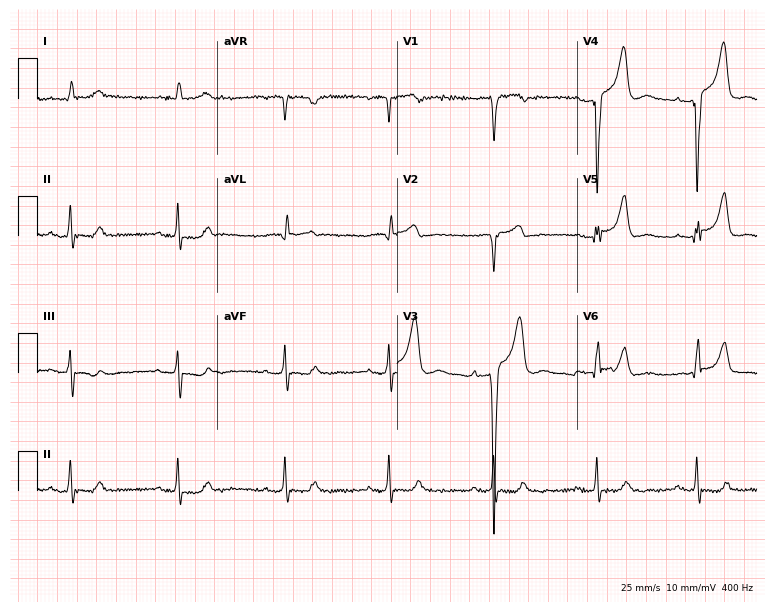
Standard 12-lead ECG recorded from a male, 75 years old. None of these six findings is recorded: first-degree AV block, right bundle branch block, left bundle branch block, sinus bradycardia, atrial fibrillation, sinus tachycardia.